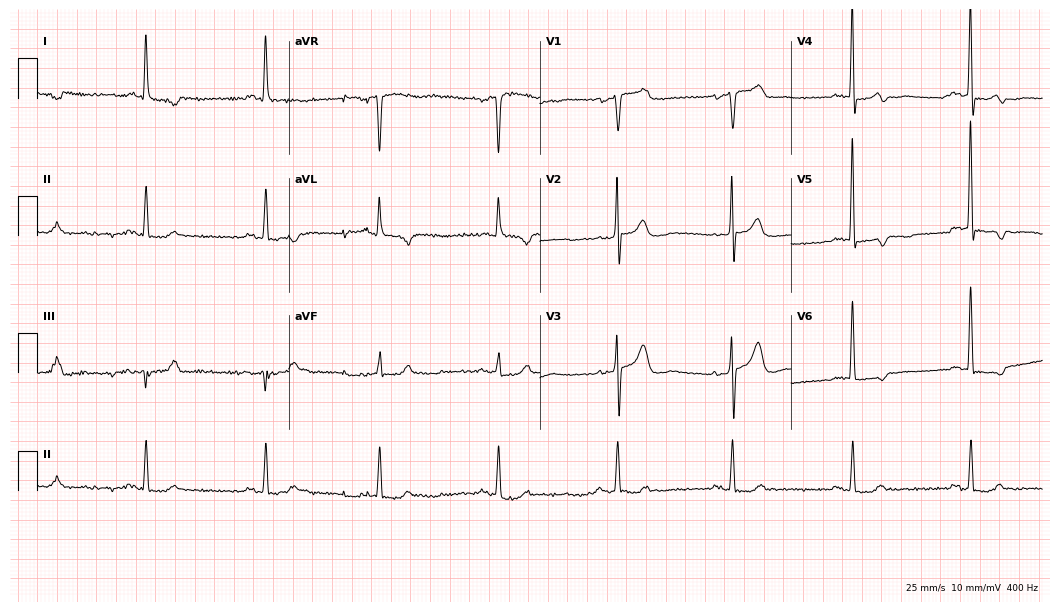
12-lead ECG from a 74-year-old female. No first-degree AV block, right bundle branch block, left bundle branch block, sinus bradycardia, atrial fibrillation or sinus tachycardia recorded for this tracing. Only these six findings were labelled.